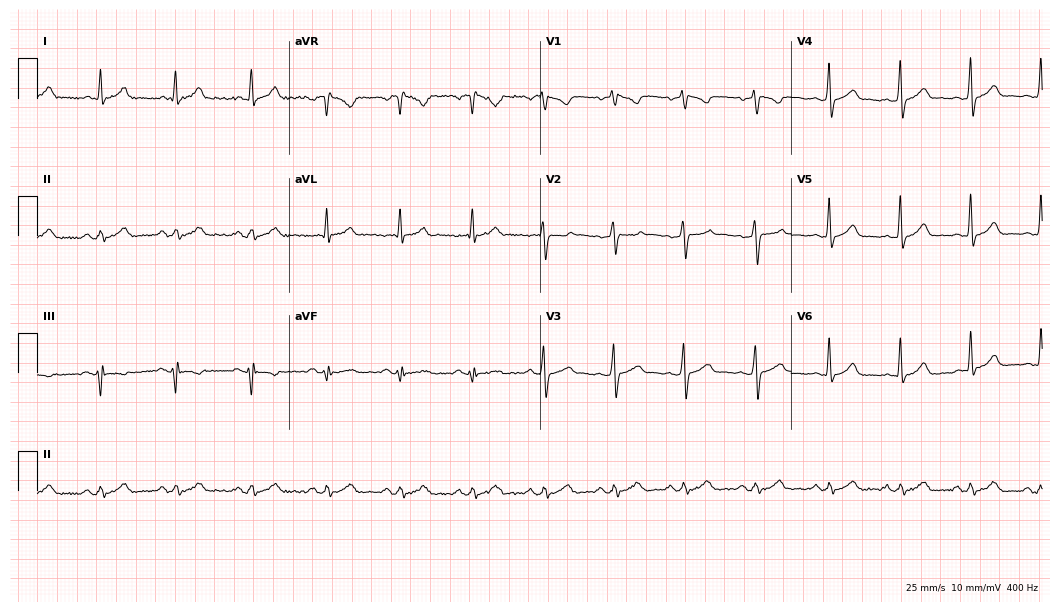
Standard 12-lead ECG recorded from a 41-year-old male. None of these six findings is recorded: first-degree AV block, right bundle branch block (RBBB), left bundle branch block (LBBB), sinus bradycardia, atrial fibrillation (AF), sinus tachycardia. Only these six findings were labelled.